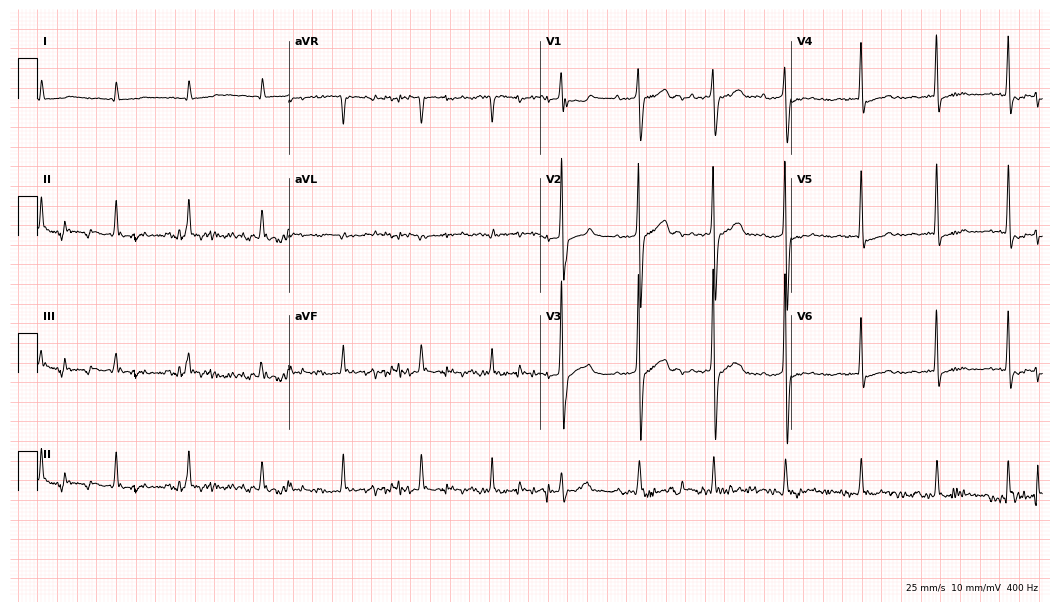
12-lead ECG from a female, 79 years old (10.2-second recording at 400 Hz). No first-degree AV block, right bundle branch block (RBBB), left bundle branch block (LBBB), sinus bradycardia, atrial fibrillation (AF) or sinus tachycardia recorded for this tracing. Findings outside these six are not listed.